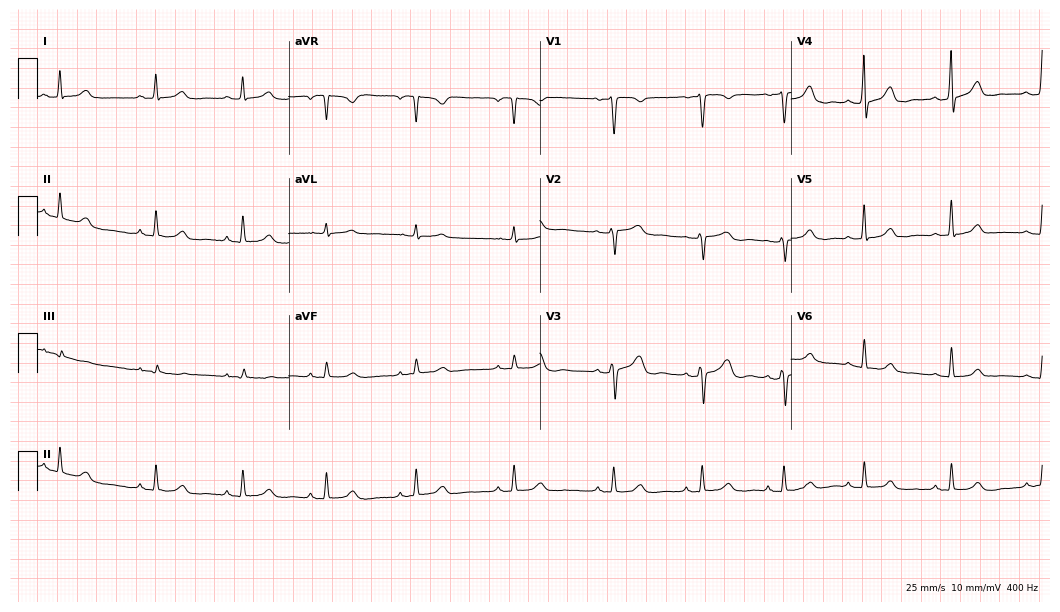
Resting 12-lead electrocardiogram. Patient: a 43-year-old female. Read as a normal ECG.